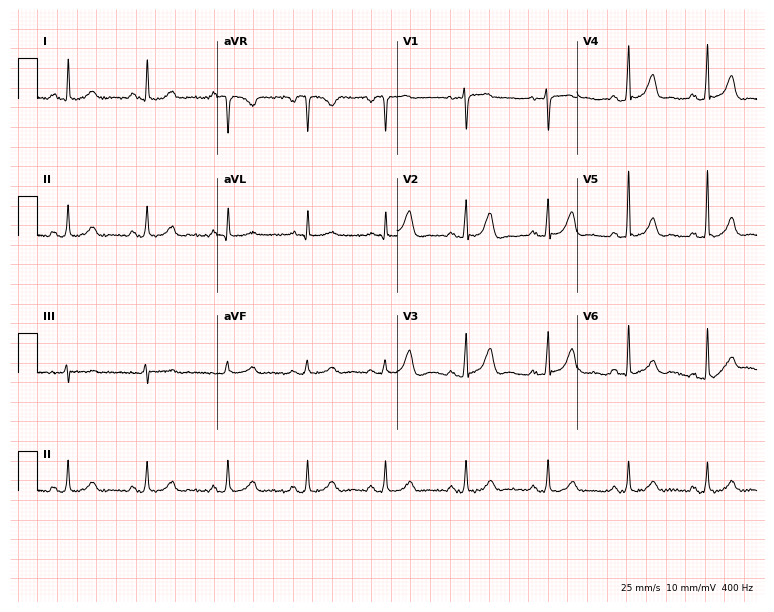
12-lead ECG from a 40-year-old female patient. Labelled as a normal ECG.